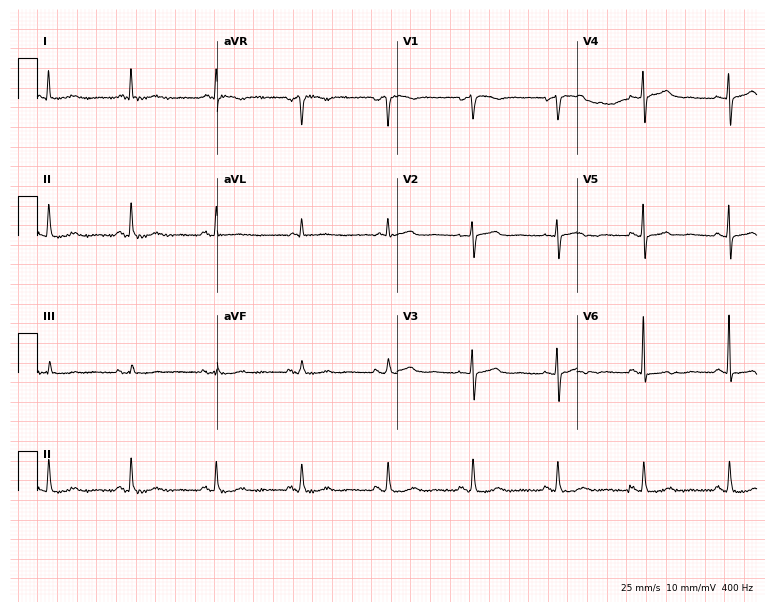
12-lead ECG from a female, 76 years old (7.3-second recording at 400 Hz). Recorded interpretation: within normal limits.